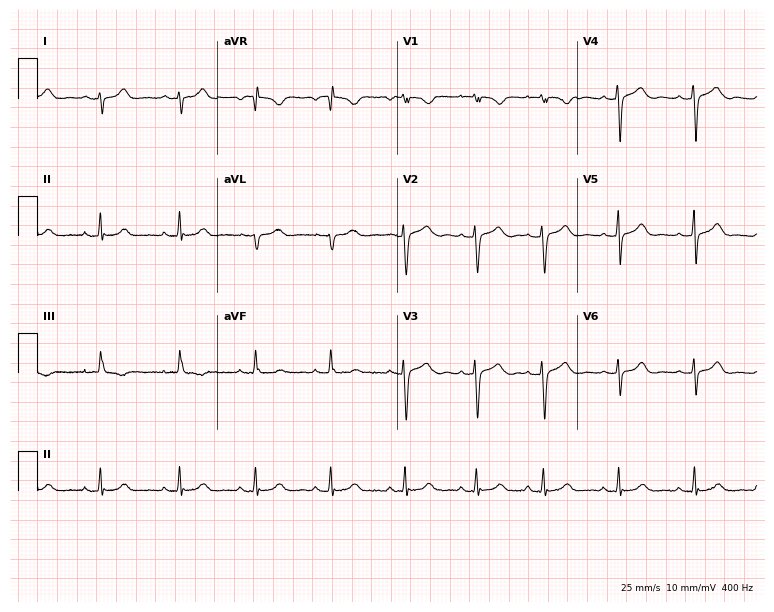
12-lead ECG from a female, 17 years old (7.3-second recording at 400 Hz). No first-degree AV block, right bundle branch block, left bundle branch block, sinus bradycardia, atrial fibrillation or sinus tachycardia recorded for this tracing.